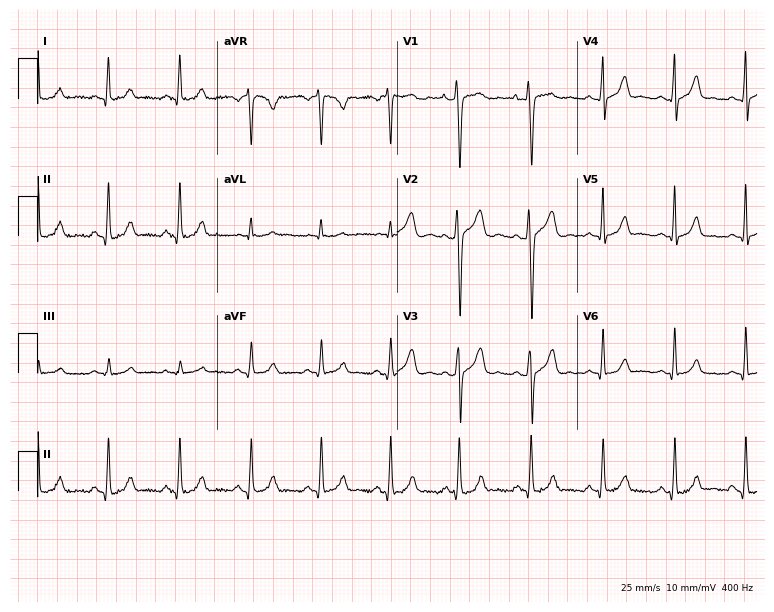
Standard 12-lead ECG recorded from a 21-year-old female patient. Read as a normal ECG.